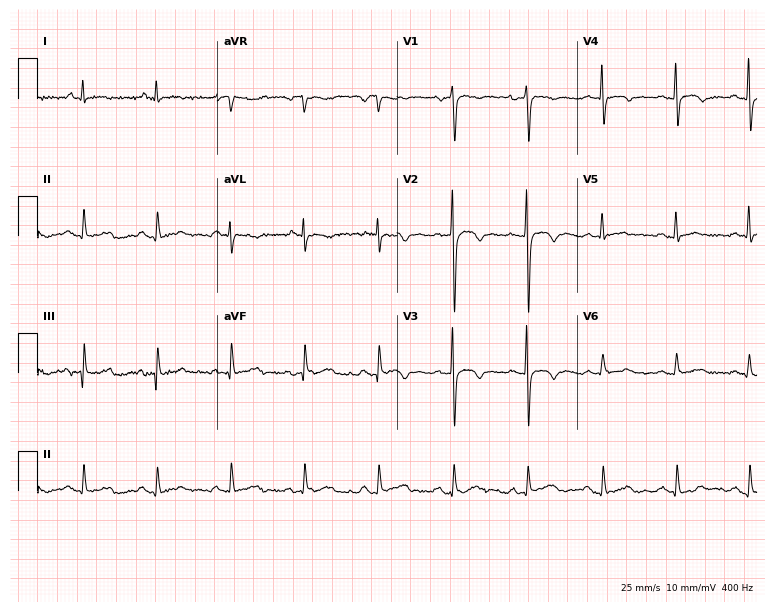
12-lead ECG from a male patient, 68 years old (7.3-second recording at 400 Hz). No first-degree AV block, right bundle branch block, left bundle branch block, sinus bradycardia, atrial fibrillation or sinus tachycardia recorded for this tracing. Other findings, if any, are not listed.